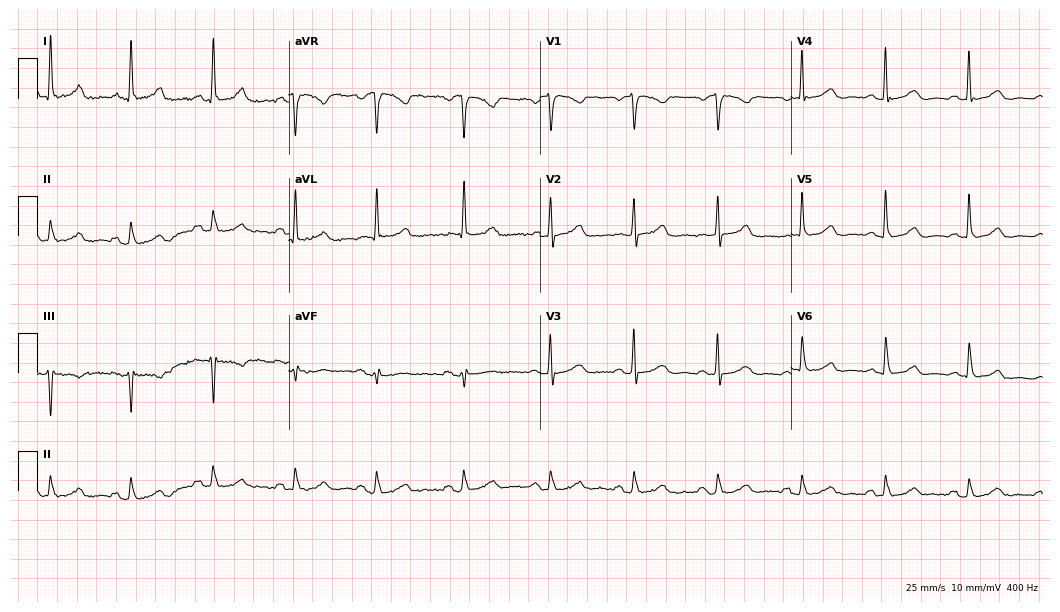
Resting 12-lead electrocardiogram (10.2-second recording at 400 Hz). Patient: a woman, 79 years old. None of these six findings is recorded: first-degree AV block, right bundle branch block, left bundle branch block, sinus bradycardia, atrial fibrillation, sinus tachycardia. Findings outside these six are not listed.